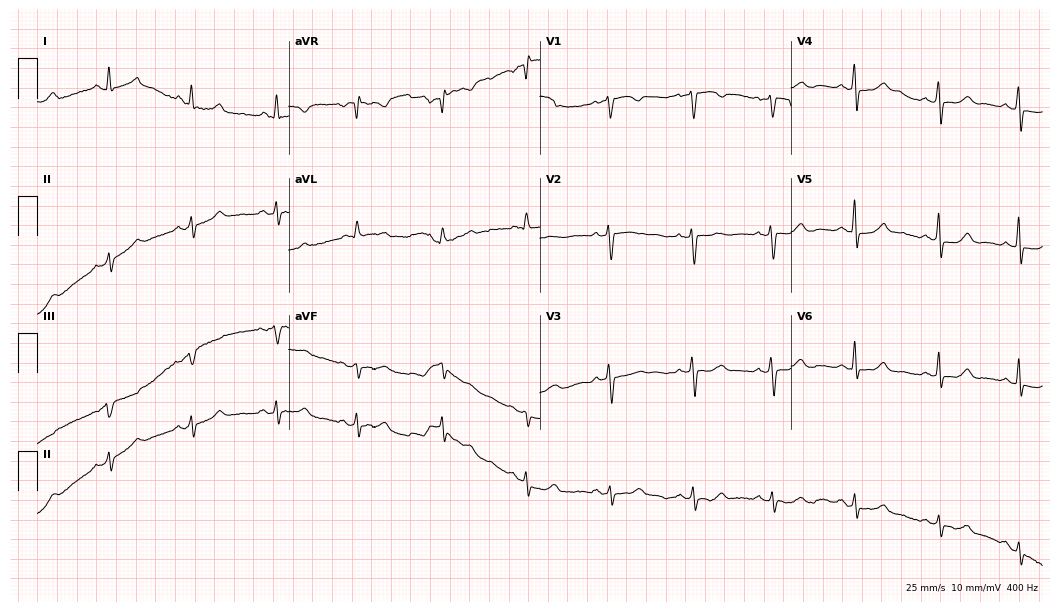
ECG (10.2-second recording at 400 Hz) — a woman, 56 years old. Screened for six findings — first-degree AV block, right bundle branch block, left bundle branch block, sinus bradycardia, atrial fibrillation, sinus tachycardia — none is recorded. Other findings, if any, are not listed.